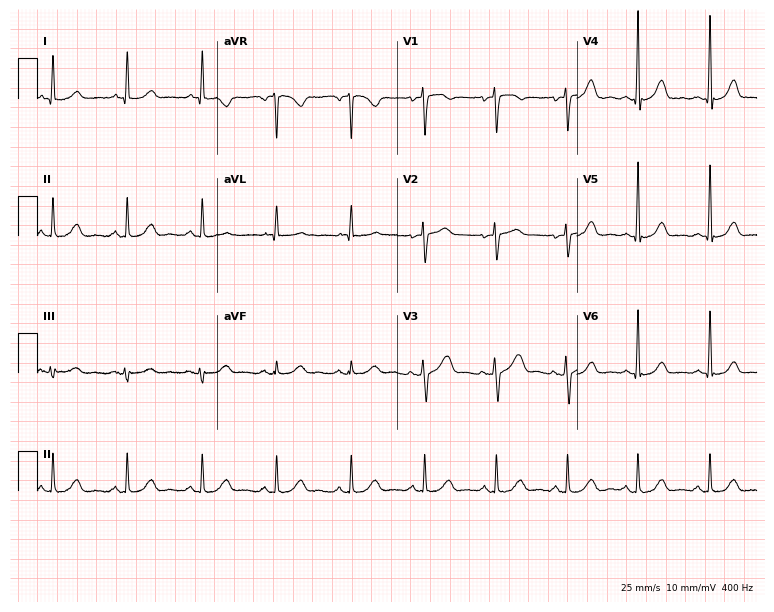
Resting 12-lead electrocardiogram (7.3-second recording at 400 Hz). Patient: a woman, 46 years old. None of these six findings is recorded: first-degree AV block, right bundle branch block, left bundle branch block, sinus bradycardia, atrial fibrillation, sinus tachycardia.